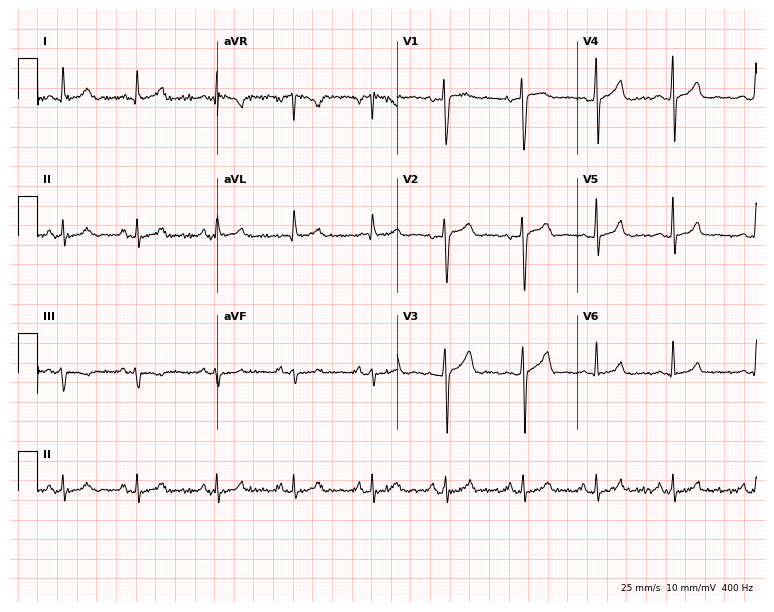
ECG — a female patient, 27 years old. Labelled as a normal ECG.